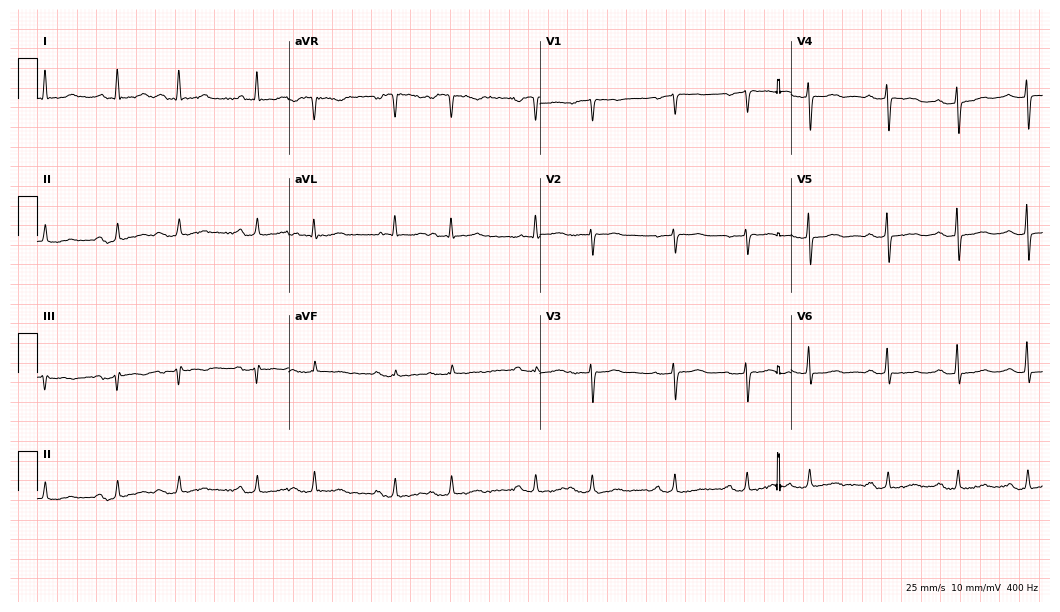
Electrocardiogram, a female patient, 84 years old. Of the six screened findings (first-degree AV block, right bundle branch block, left bundle branch block, sinus bradycardia, atrial fibrillation, sinus tachycardia), none is recorded.